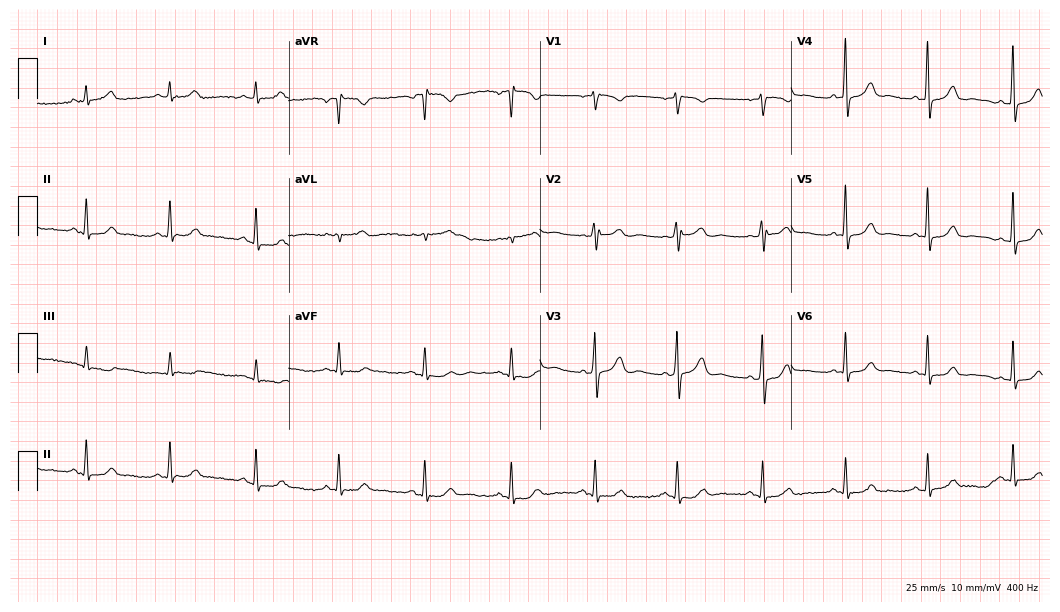
Electrocardiogram, a 42-year-old female. Overall reading on record: normal ECG.